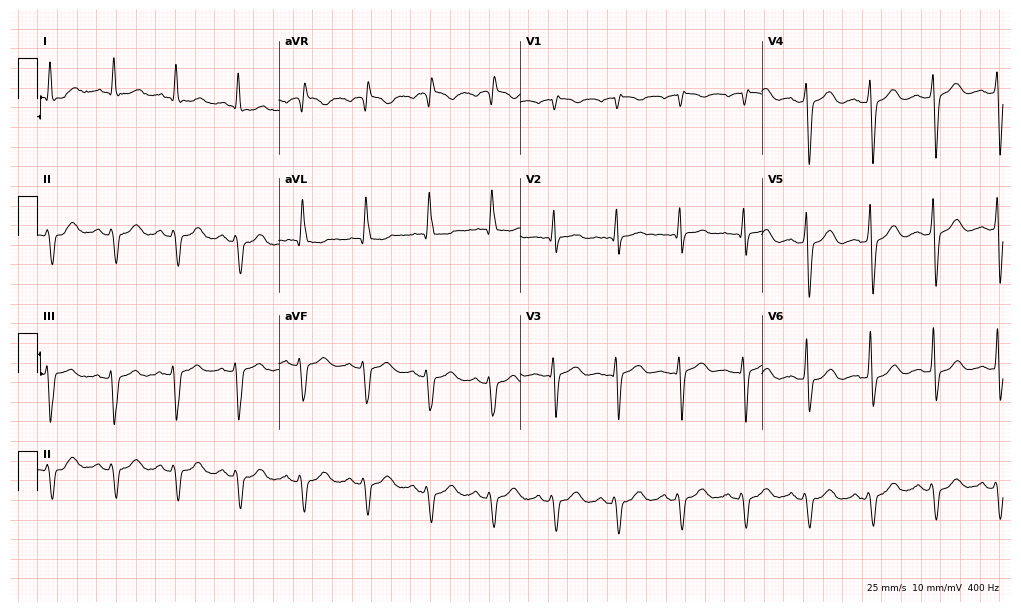
12-lead ECG (9.8-second recording at 400 Hz) from a male patient, 77 years old. Screened for six findings — first-degree AV block, right bundle branch block (RBBB), left bundle branch block (LBBB), sinus bradycardia, atrial fibrillation (AF), sinus tachycardia — none is recorded. Only these six findings were labelled.